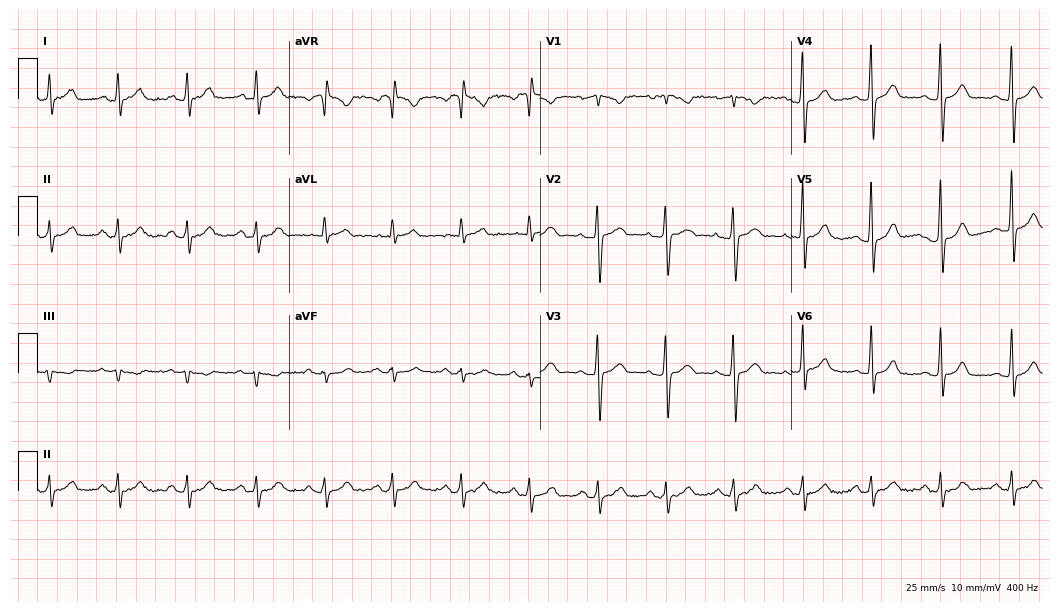
ECG (10.2-second recording at 400 Hz) — a man, 41 years old. Labelled as a normal ECG.